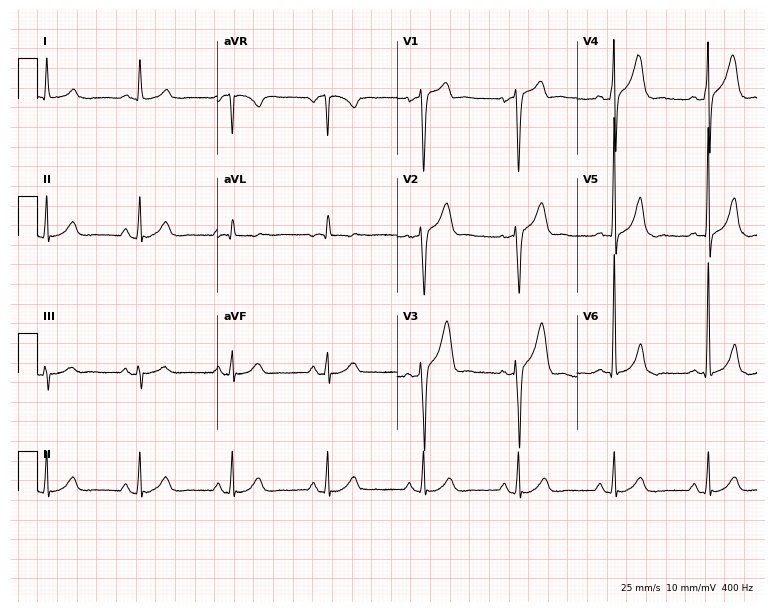
ECG — a 68-year-old male. Screened for six findings — first-degree AV block, right bundle branch block, left bundle branch block, sinus bradycardia, atrial fibrillation, sinus tachycardia — none is recorded. Only these six findings were labelled.